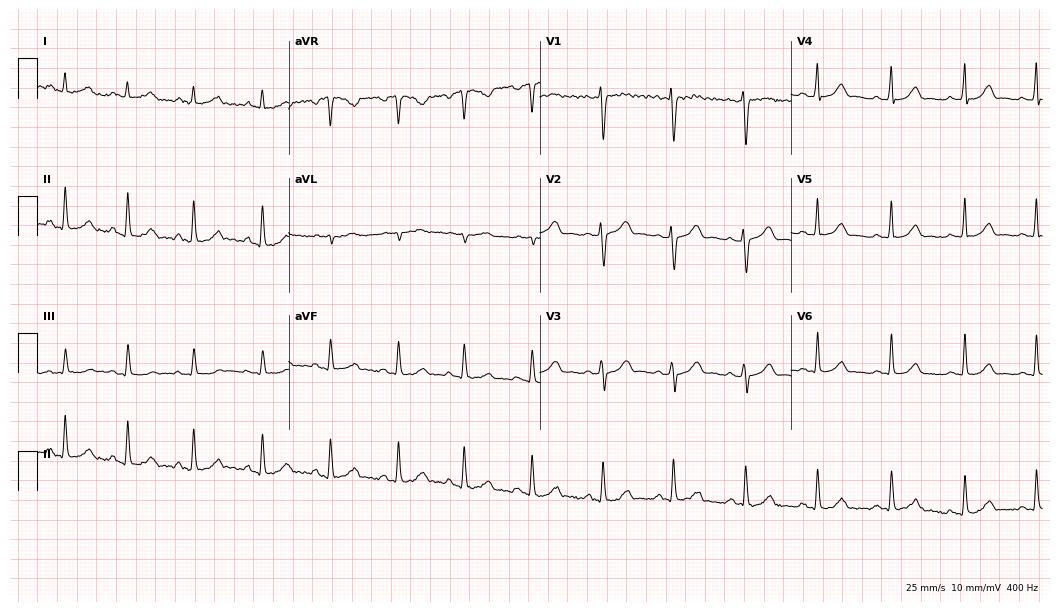
Resting 12-lead electrocardiogram (10.2-second recording at 400 Hz). Patient: a female, 43 years old. None of these six findings is recorded: first-degree AV block, right bundle branch block (RBBB), left bundle branch block (LBBB), sinus bradycardia, atrial fibrillation (AF), sinus tachycardia. Findings outside these six are not listed.